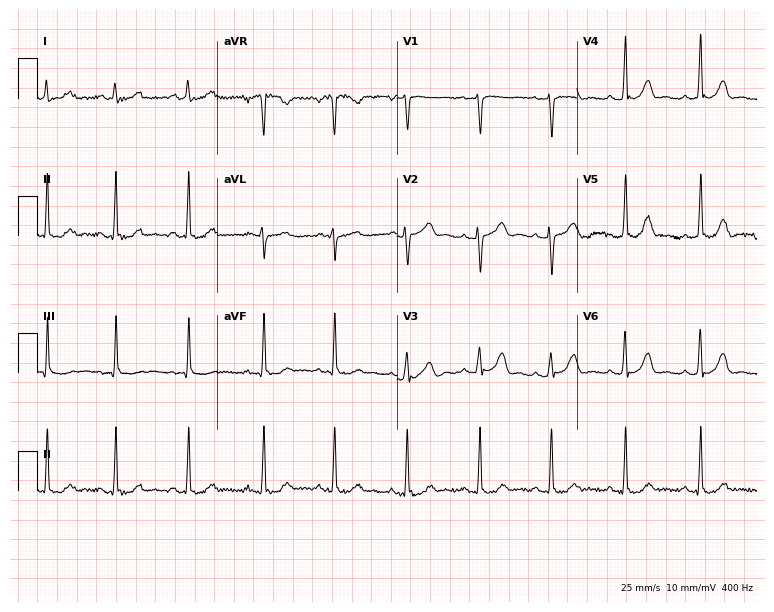
Standard 12-lead ECG recorded from a female patient, 37 years old. None of these six findings is recorded: first-degree AV block, right bundle branch block, left bundle branch block, sinus bradycardia, atrial fibrillation, sinus tachycardia.